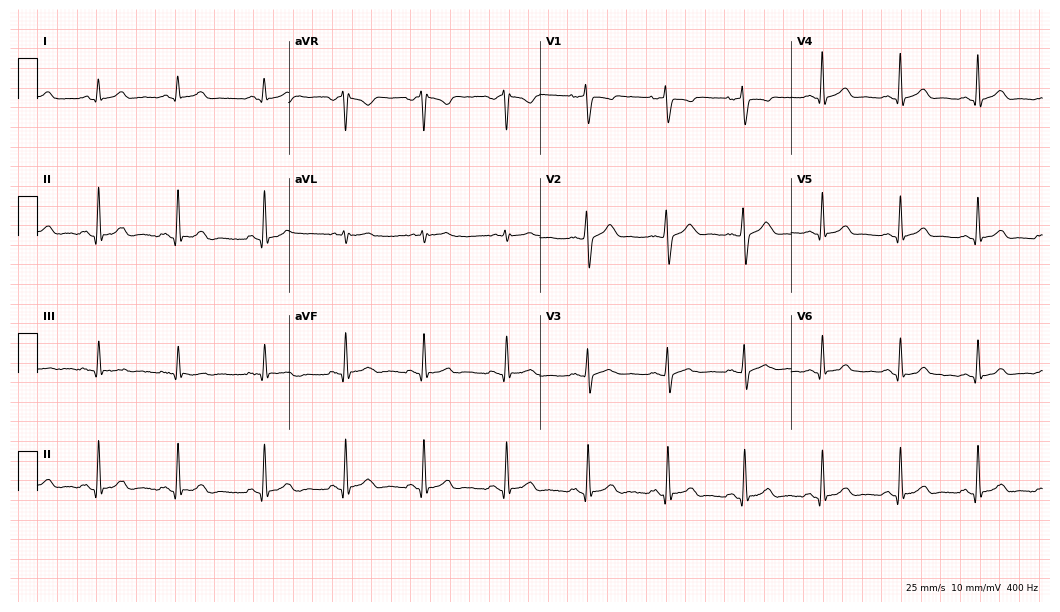
Resting 12-lead electrocardiogram. Patient: a 24-year-old female. Read as a normal ECG.